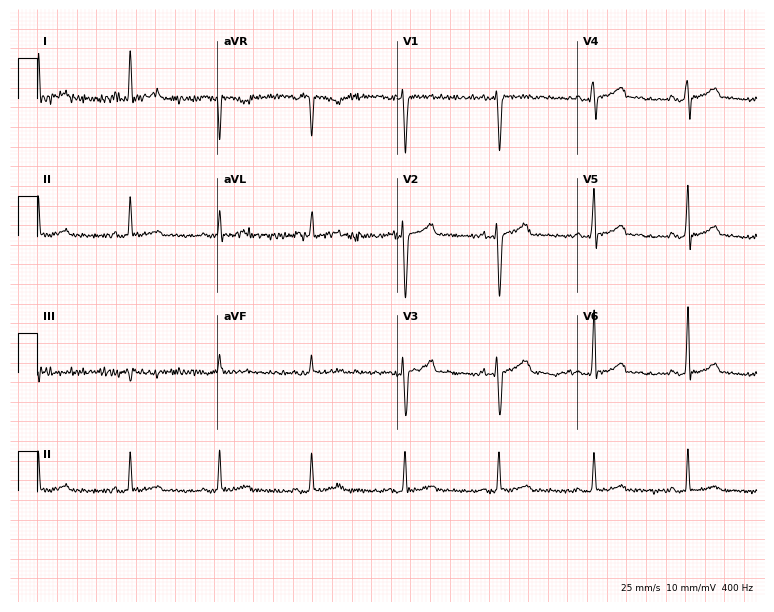
Electrocardiogram, a 39-year-old male patient. Overall reading on record: normal ECG.